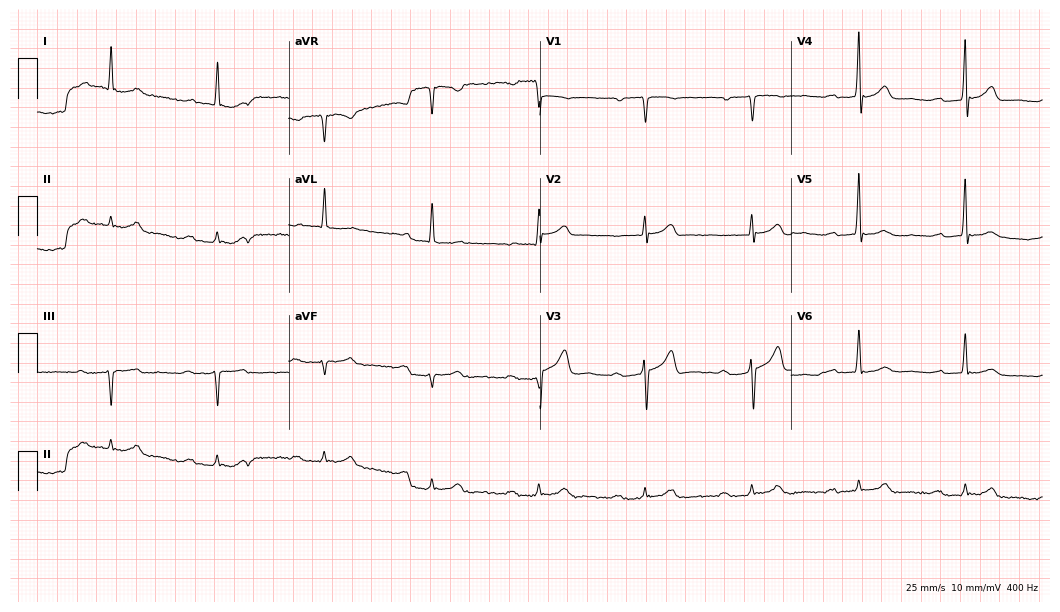
ECG — an 80-year-old man. Findings include first-degree AV block.